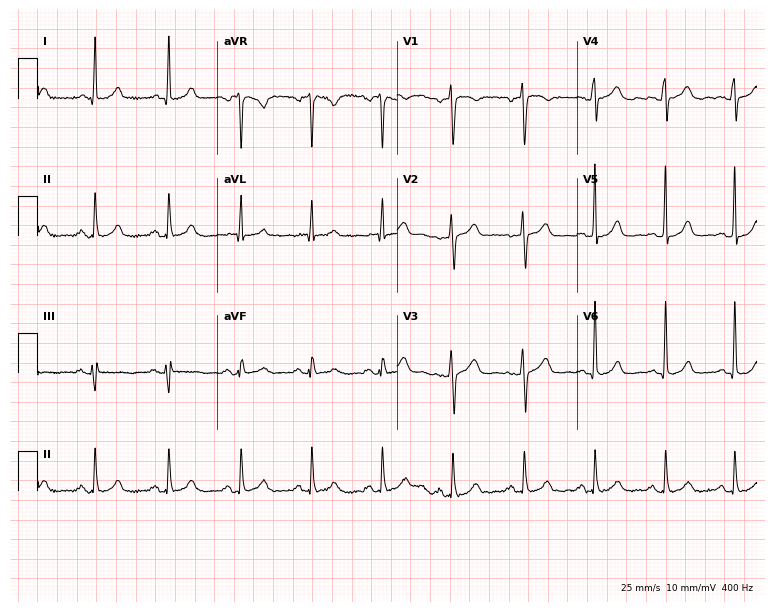
12-lead ECG from a 56-year-old female patient. Screened for six findings — first-degree AV block, right bundle branch block, left bundle branch block, sinus bradycardia, atrial fibrillation, sinus tachycardia — none is recorded. Other findings, if any, are not listed.